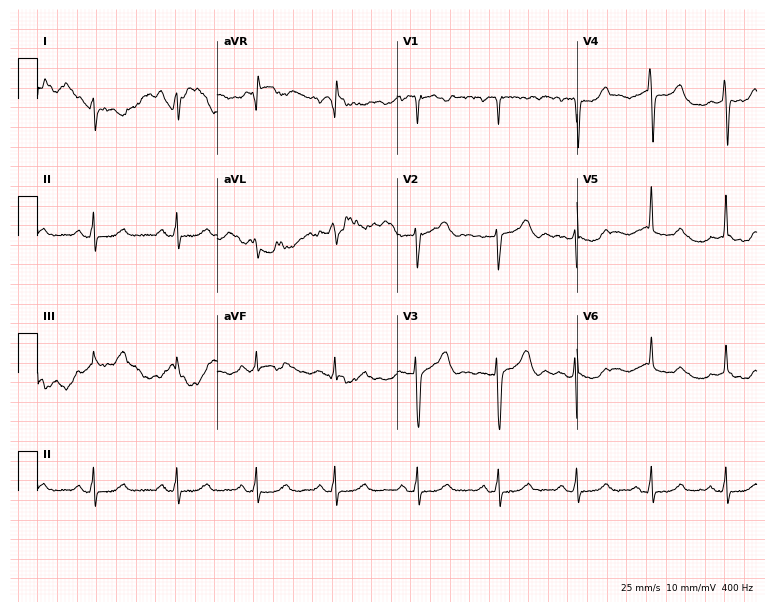
Electrocardiogram (7.3-second recording at 400 Hz), a 48-year-old female. Of the six screened findings (first-degree AV block, right bundle branch block, left bundle branch block, sinus bradycardia, atrial fibrillation, sinus tachycardia), none is recorded.